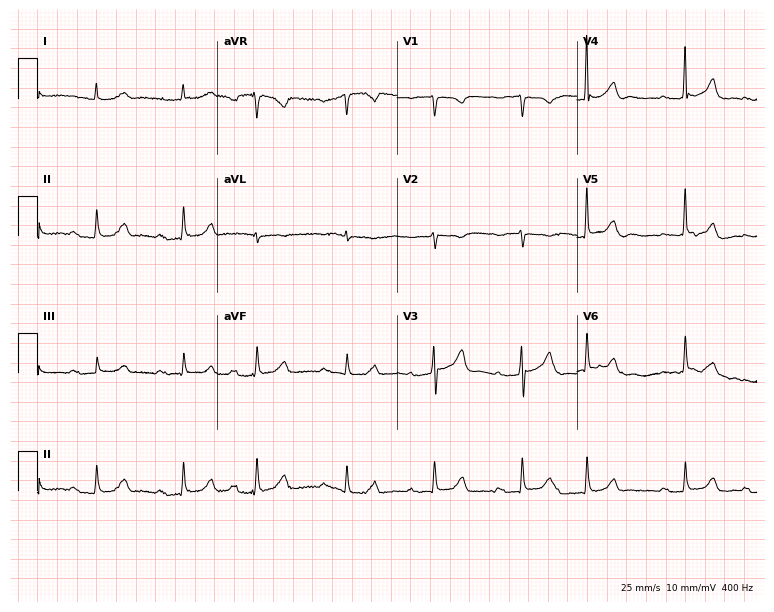
ECG — a female patient, 83 years old. Findings include first-degree AV block, atrial fibrillation.